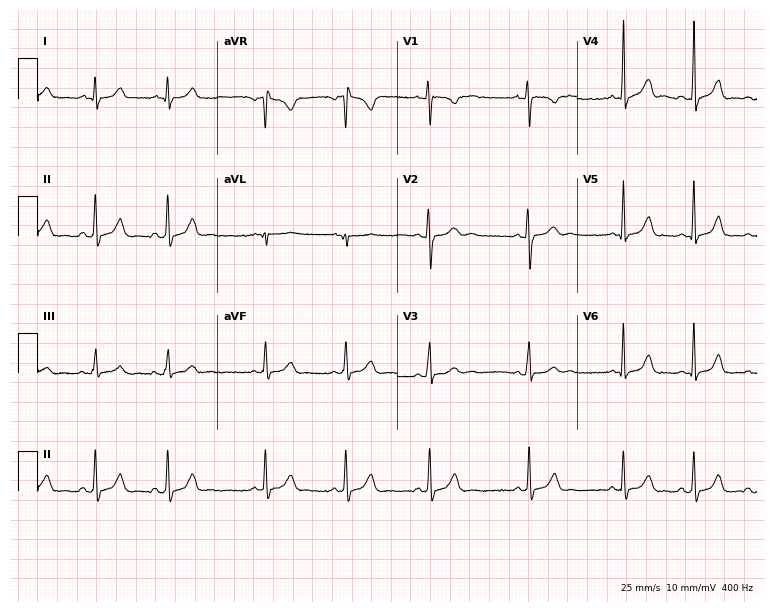
Electrocardiogram (7.3-second recording at 400 Hz), an 18-year-old woman. Overall reading on record: normal ECG.